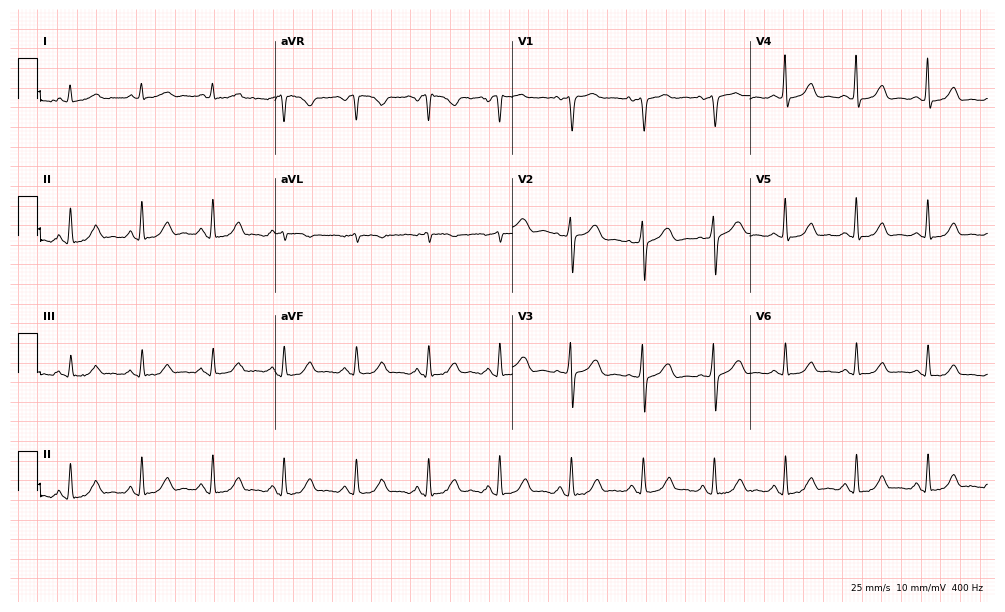
ECG (9.7-second recording at 400 Hz) — a woman, 49 years old. Labelled as a normal ECG.